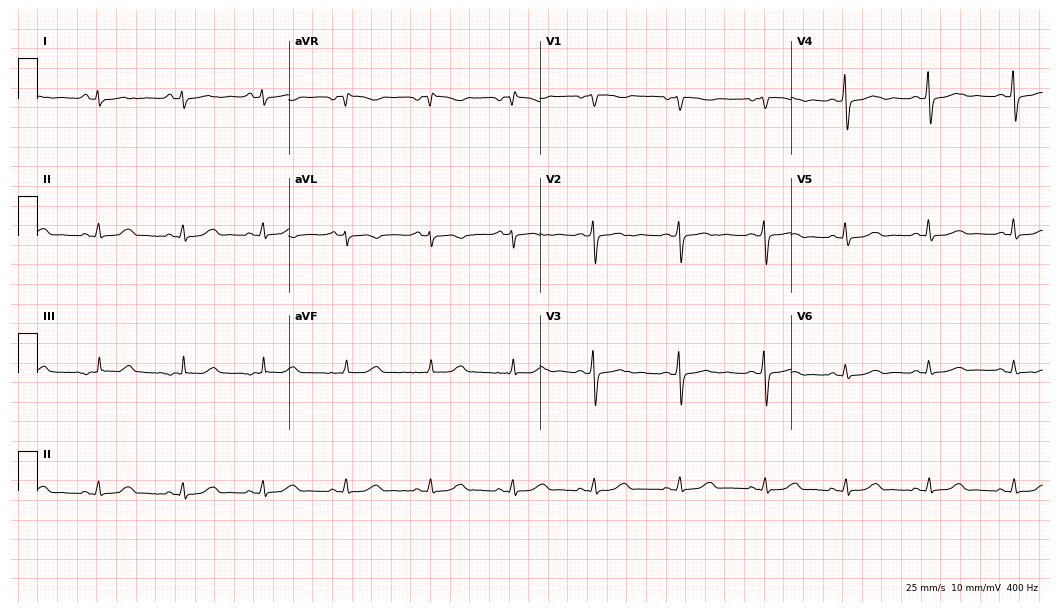
ECG (10.2-second recording at 400 Hz) — a female patient, 47 years old. Screened for six findings — first-degree AV block, right bundle branch block, left bundle branch block, sinus bradycardia, atrial fibrillation, sinus tachycardia — none is recorded.